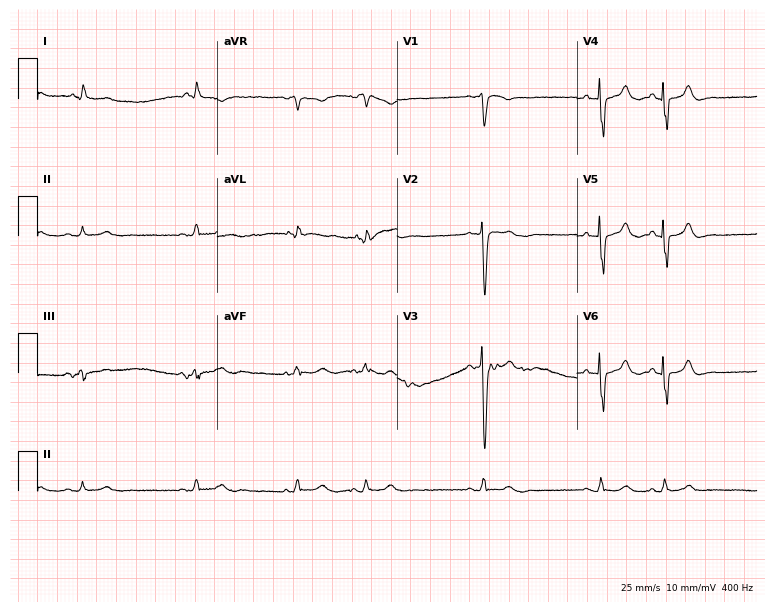
ECG (7.3-second recording at 400 Hz) — an 84-year-old male patient. Screened for six findings — first-degree AV block, right bundle branch block (RBBB), left bundle branch block (LBBB), sinus bradycardia, atrial fibrillation (AF), sinus tachycardia — none is recorded. Only these six findings were labelled.